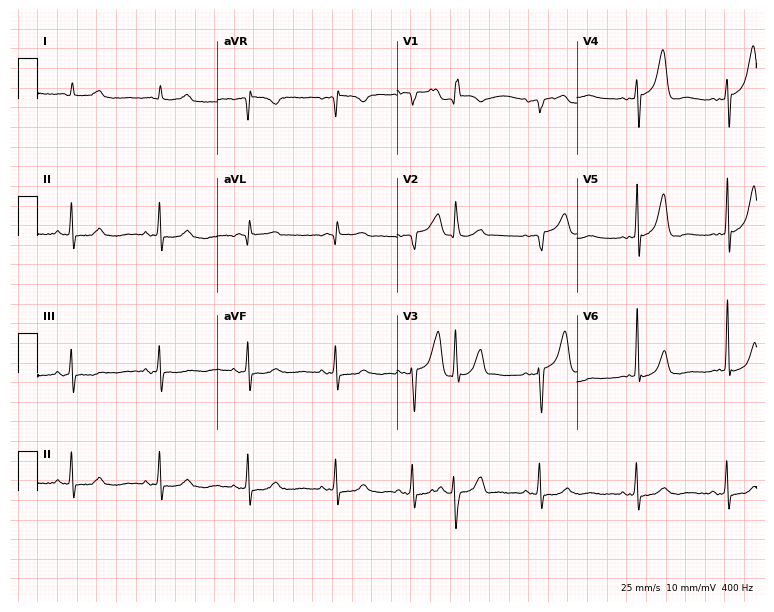
Standard 12-lead ECG recorded from a man, 83 years old (7.3-second recording at 400 Hz). None of these six findings is recorded: first-degree AV block, right bundle branch block, left bundle branch block, sinus bradycardia, atrial fibrillation, sinus tachycardia.